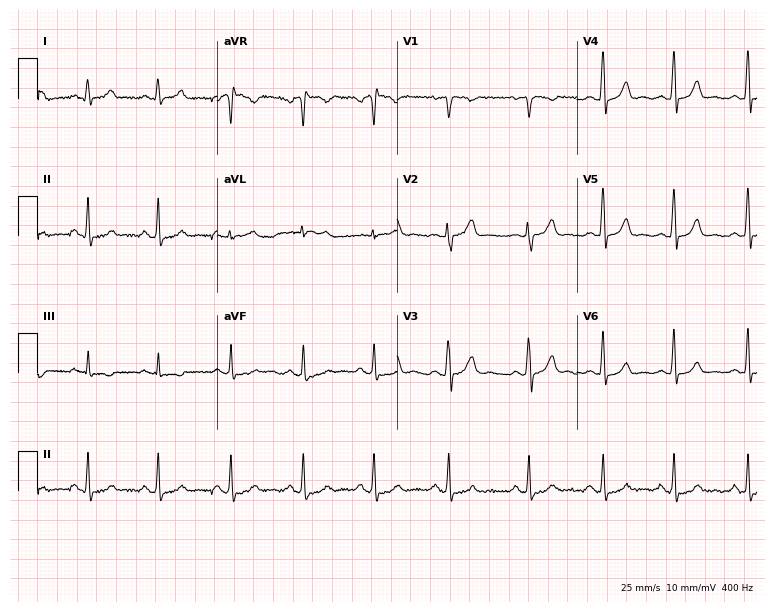
Standard 12-lead ECG recorded from a 26-year-old woman (7.3-second recording at 400 Hz). Read as a normal ECG.